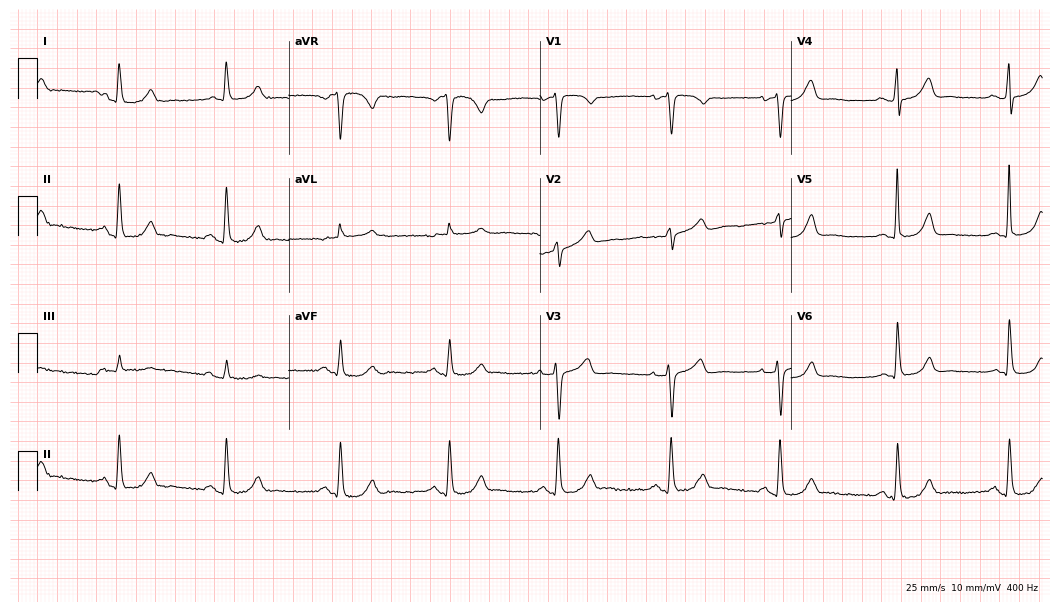
ECG (10.2-second recording at 400 Hz) — a female patient, 75 years old. Screened for six findings — first-degree AV block, right bundle branch block, left bundle branch block, sinus bradycardia, atrial fibrillation, sinus tachycardia — none is recorded.